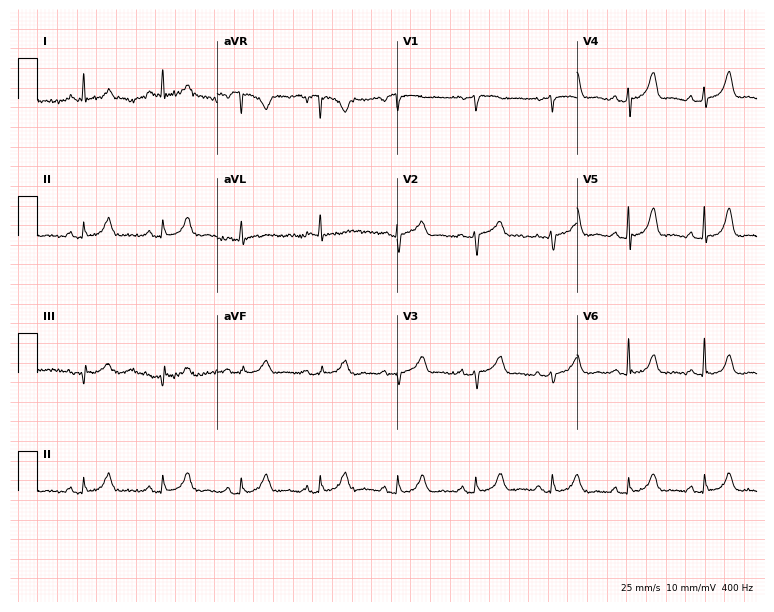
Standard 12-lead ECG recorded from a 74-year-old female. None of these six findings is recorded: first-degree AV block, right bundle branch block, left bundle branch block, sinus bradycardia, atrial fibrillation, sinus tachycardia.